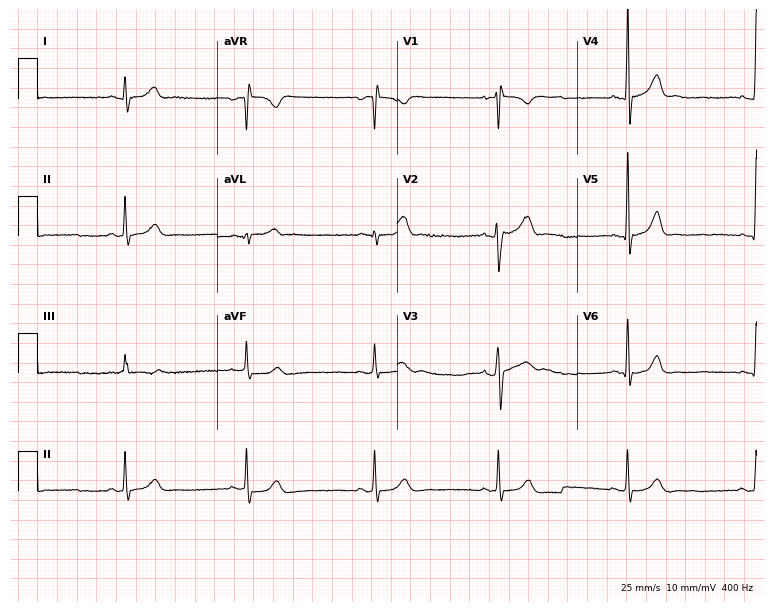
Resting 12-lead electrocardiogram. Patient: a man, 21 years old. Read as a normal ECG.